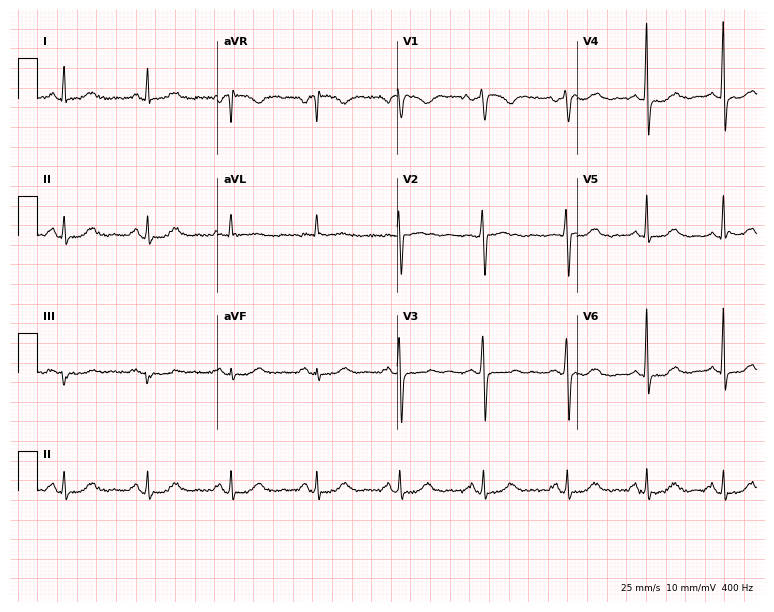
Electrocardiogram, a woman, 60 years old. Of the six screened findings (first-degree AV block, right bundle branch block, left bundle branch block, sinus bradycardia, atrial fibrillation, sinus tachycardia), none is recorded. Only these six findings were labelled.